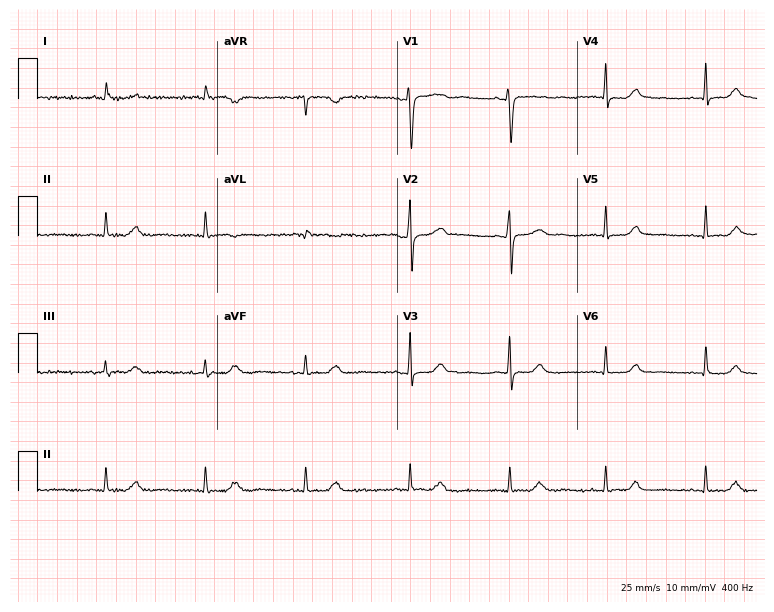
Resting 12-lead electrocardiogram (7.3-second recording at 400 Hz). Patient: a female, 67 years old. Read as a normal ECG.